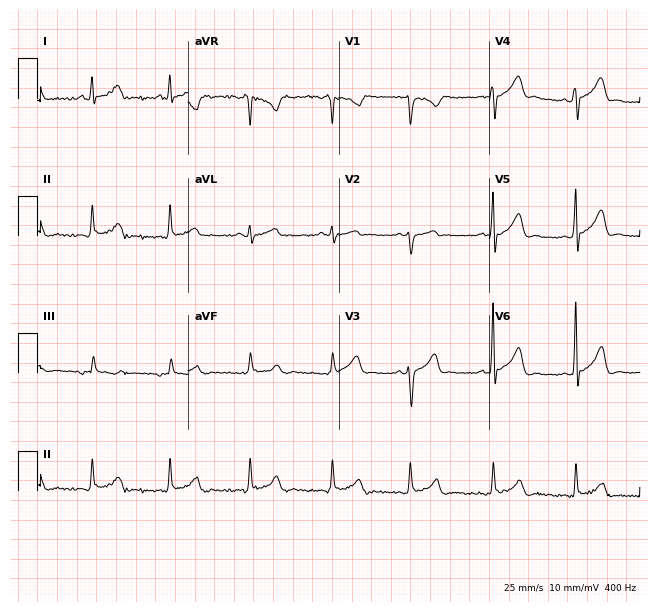
Electrocardiogram (6.1-second recording at 400 Hz), a 38-year-old female. Of the six screened findings (first-degree AV block, right bundle branch block (RBBB), left bundle branch block (LBBB), sinus bradycardia, atrial fibrillation (AF), sinus tachycardia), none is recorded.